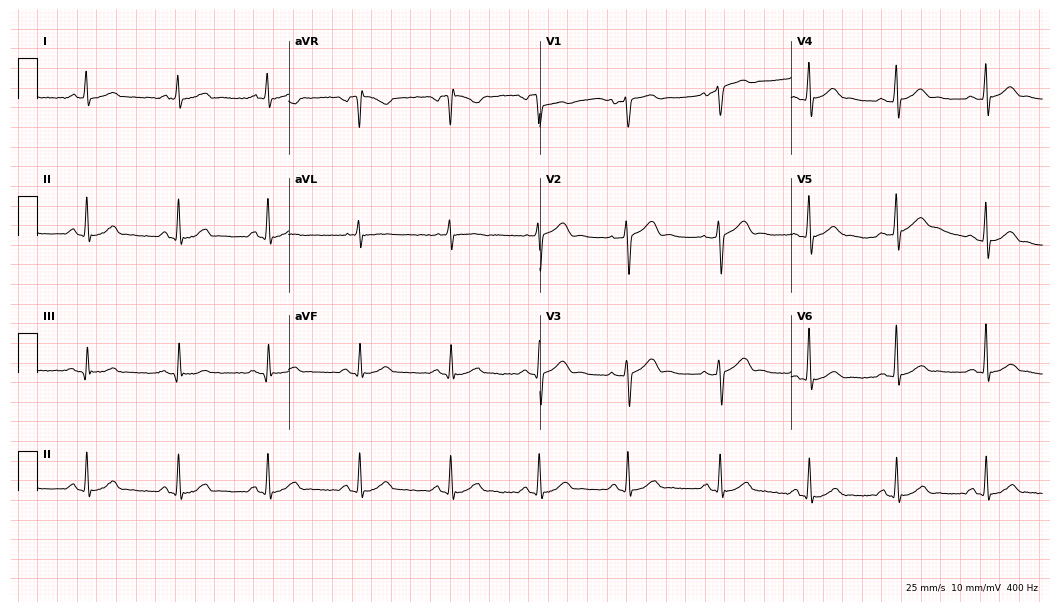
Electrocardiogram, a man, 51 years old. Overall reading on record: normal ECG.